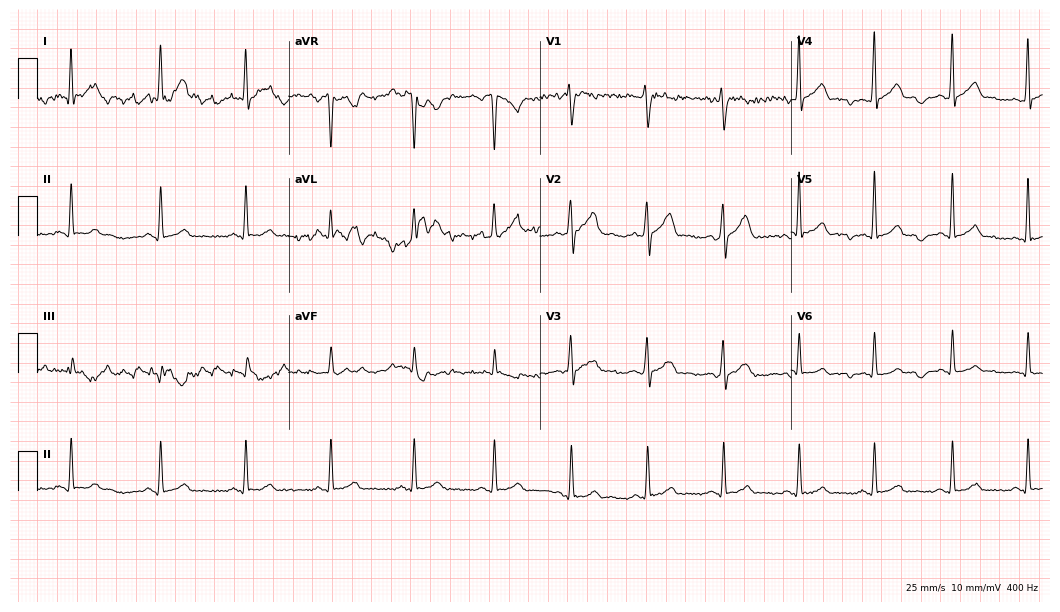
12-lead ECG from a female patient, 25 years old (10.2-second recording at 400 Hz). Recorded interpretation: within normal limits.